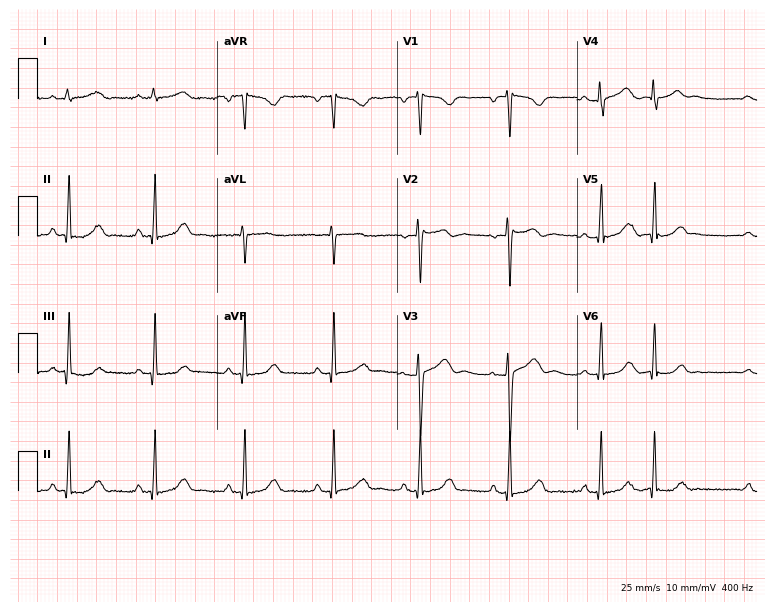
12-lead ECG (7.3-second recording at 400 Hz) from a woman, 37 years old. Screened for six findings — first-degree AV block, right bundle branch block (RBBB), left bundle branch block (LBBB), sinus bradycardia, atrial fibrillation (AF), sinus tachycardia — none is recorded. Only these six findings were labelled.